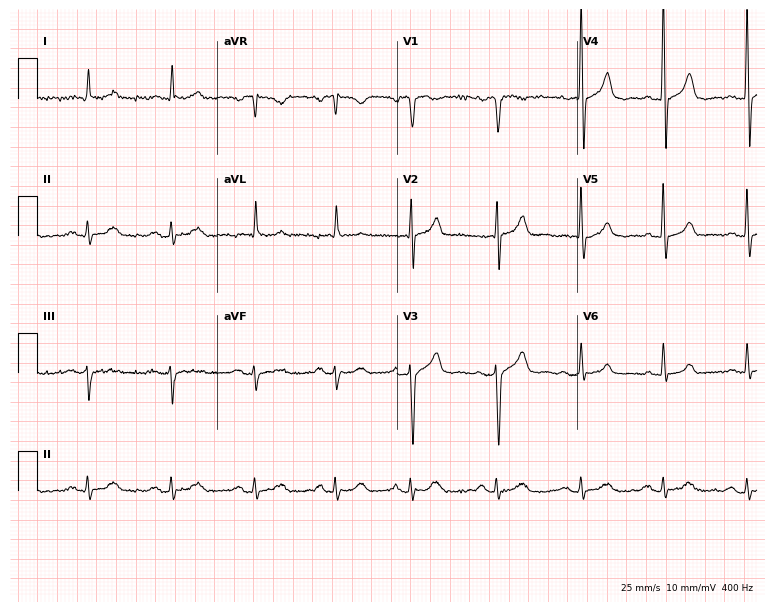
Electrocardiogram, a 68-year-old male. Overall reading on record: normal ECG.